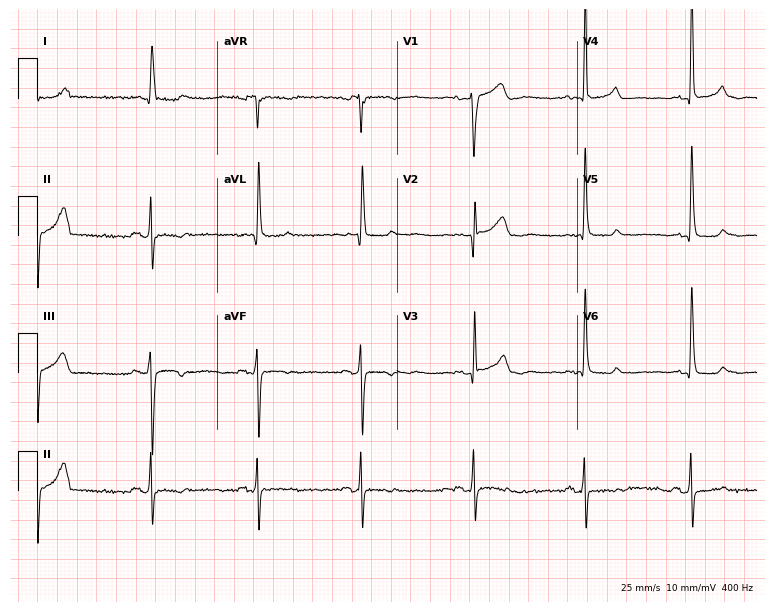
12-lead ECG from a 72-year-old female. Screened for six findings — first-degree AV block, right bundle branch block, left bundle branch block, sinus bradycardia, atrial fibrillation, sinus tachycardia — none is recorded.